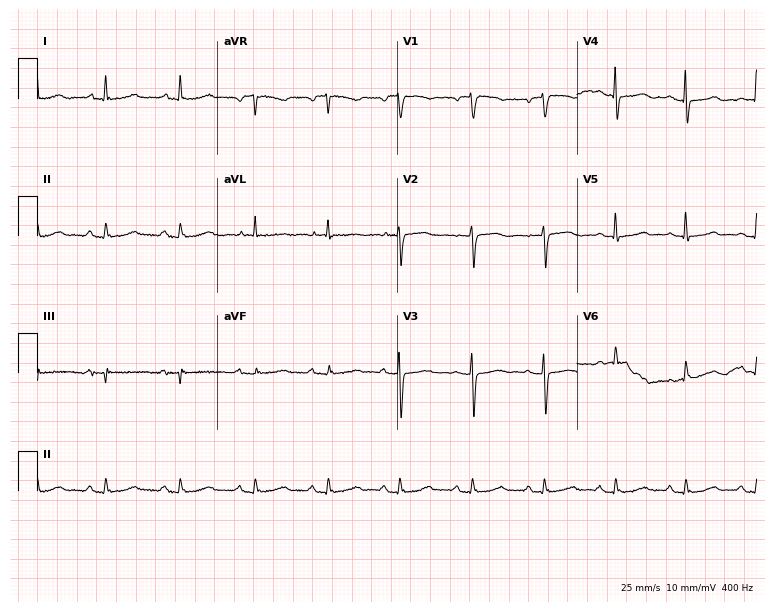
12-lead ECG (7.3-second recording at 400 Hz) from a female, 70 years old. Screened for six findings — first-degree AV block, right bundle branch block, left bundle branch block, sinus bradycardia, atrial fibrillation, sinus tachycardia — none is recorded.